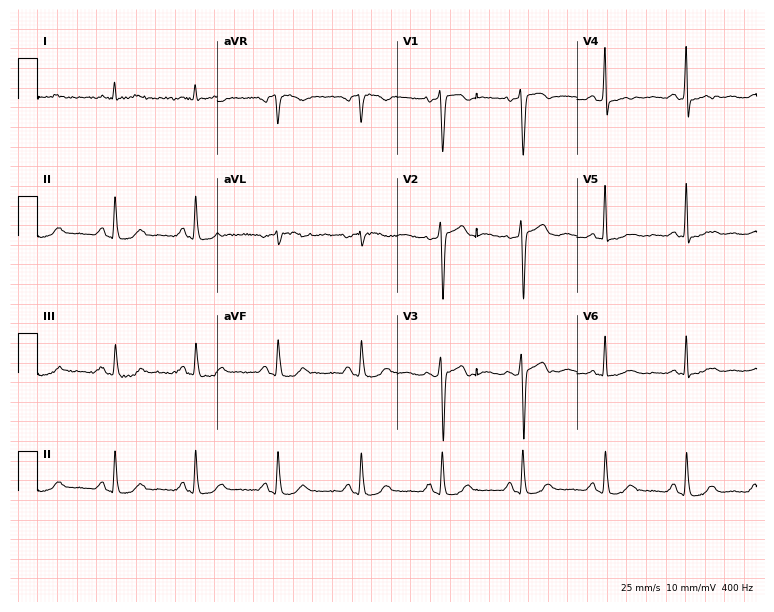
ECG (7.3-second recording at 400 Hz) — a 32-year-old male. Screened for six findings — first-degree AV block, right bundle branch block (RBBB), left bundle branch block (LBBB), sinus bradycardia, atrial fibrillation (AF), sinus tachycardia — none is recorded.